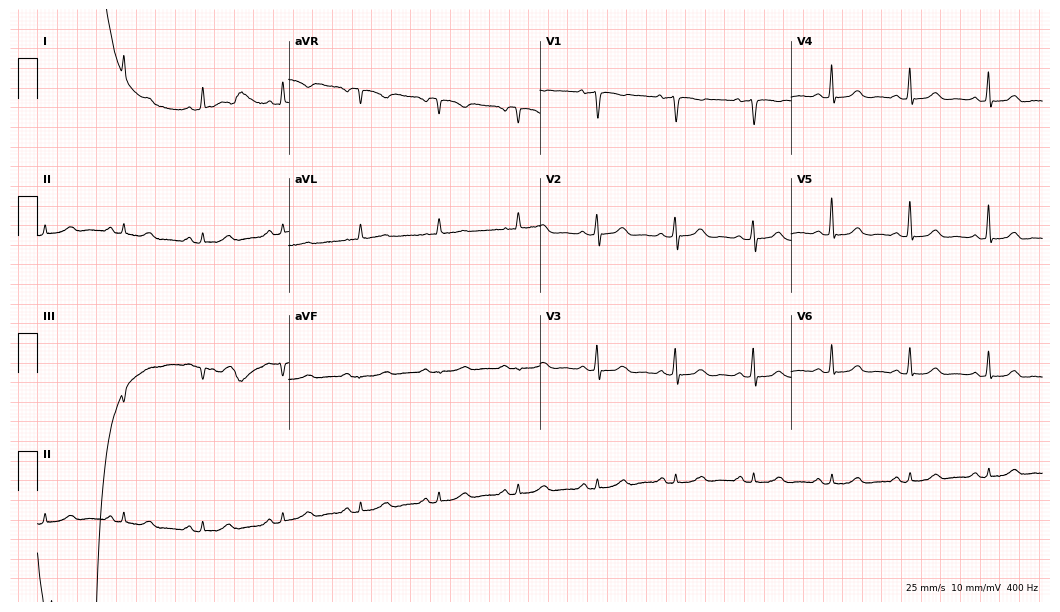
12-lead ECG (10.2-second recording at 400 Hz) from a 63-year-old female. Labelled as a normal ECG.